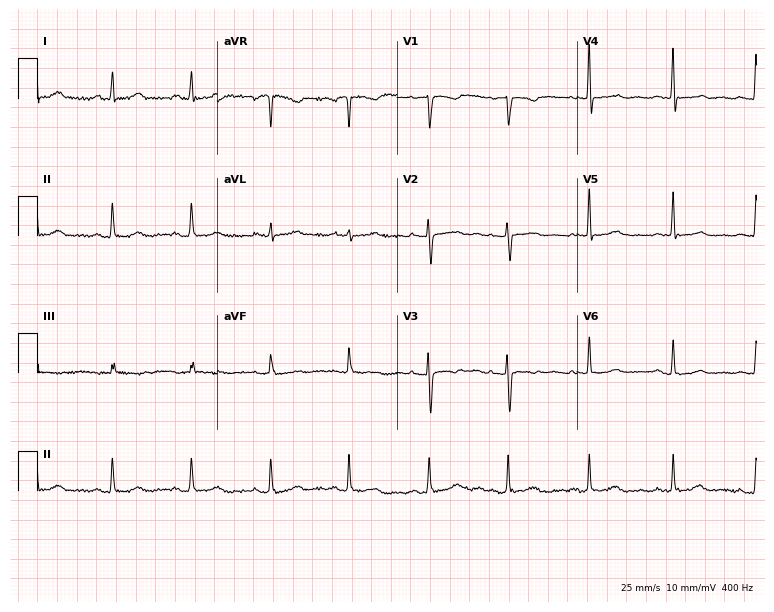
12-lead ECG from a 50-year-old female (7.3-second recording at 400 Hz). No first-degree AV block, right bundle branch block, left bundle branch block, sinus bradycardia, atrial fibrillation or sinus tachycardia recorded for this tracing. Other findings, if any, are not listed.